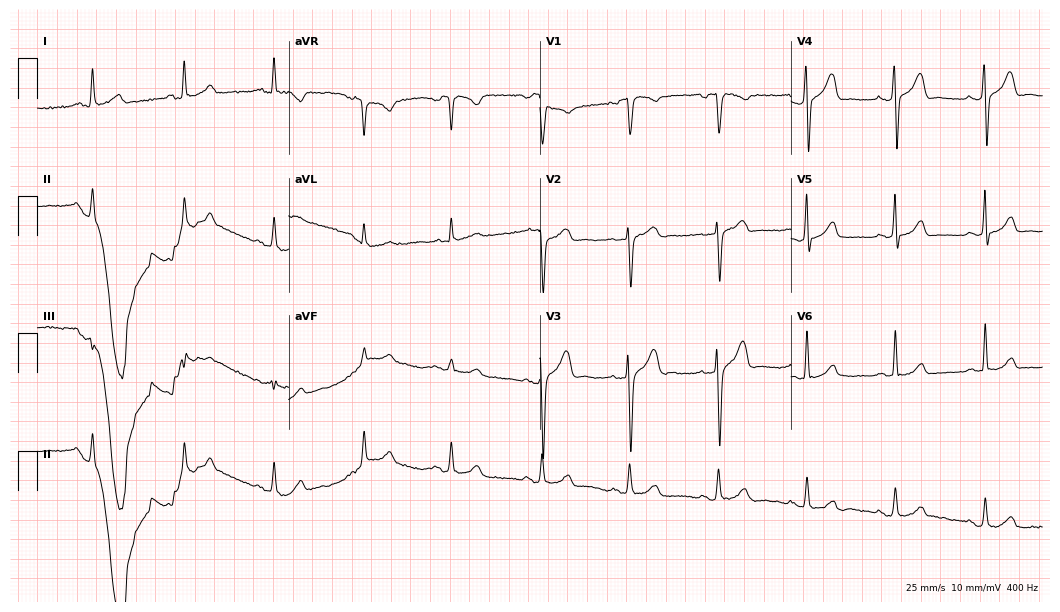
Resting 12-lead electrocardiogram (10.2-second recording at 400 Hz). Patient: a male, 57 years old. None of these six findings is recorded: first-degree AV block, right bundle branch block, left bundle branch block, sinus bradycardia, atrial fibrillation, sinus tachycardia.